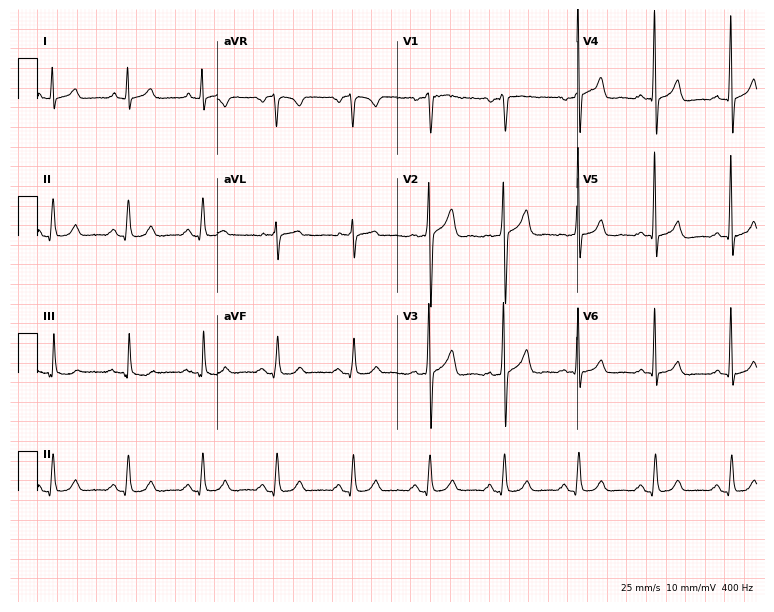
ECG (7.3-second recording at 400 Hz) — a 45-year-old male patient. Labelled as a normal ECG.